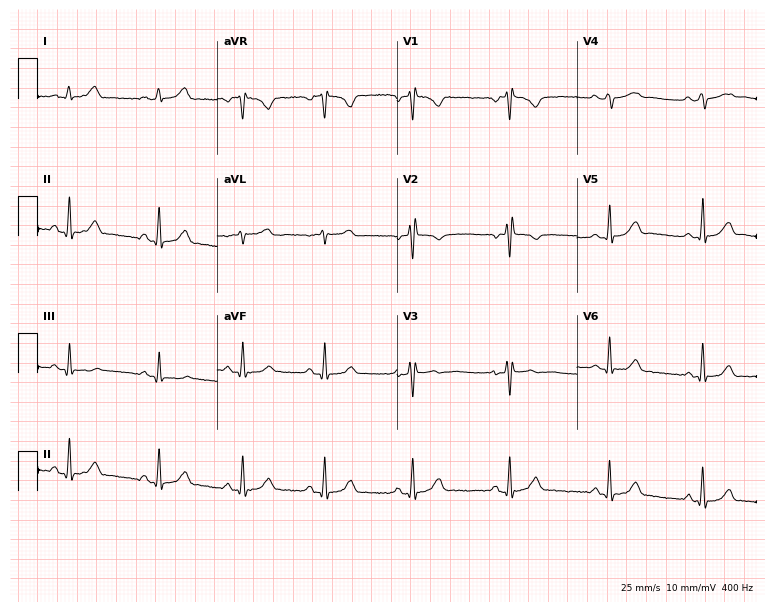
12-lead ECG from a 22-year-old male. No first-degree AV block, right bundle branch block, left bundle branch block, sinus bradycardia, atrial fibrillation or sinus tachycardia recorded for this tracing.